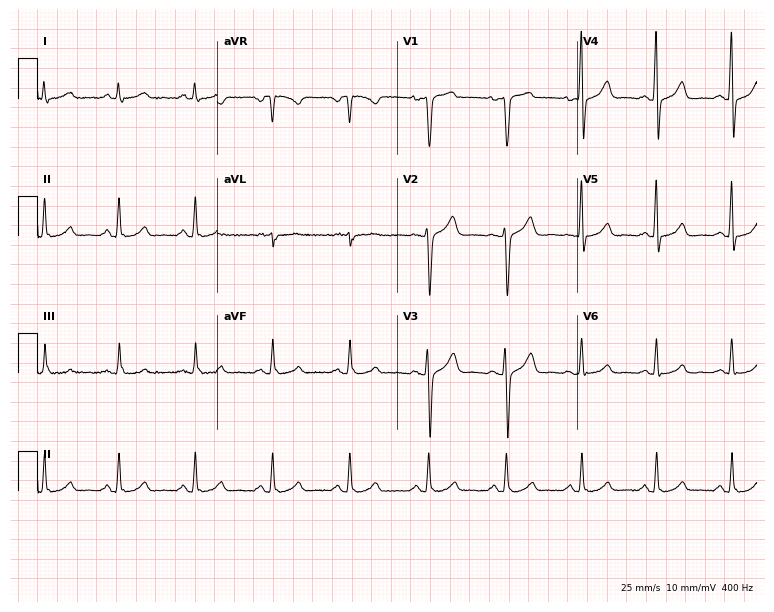
12-lead ECG from a 54-year-old woman. Screened for six findings — first-degree AV block, right bundle branch block (RBBB), left bundle branch block (LBBB), sinus bradycardia, atrial fibrillation (AF), sinus tachycardia — none is recorded. Findings outside these six are not listed.